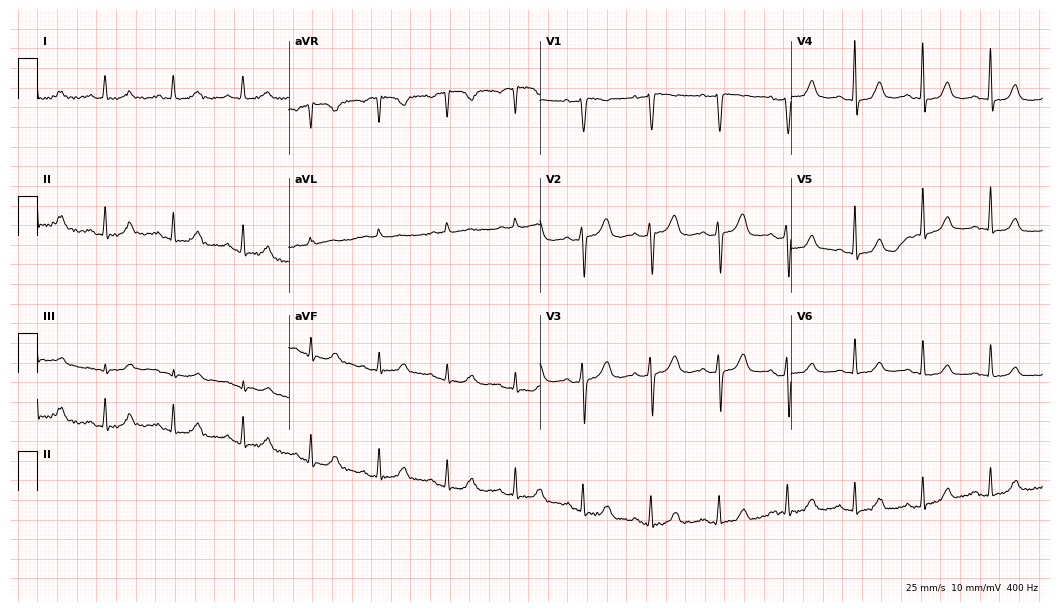
Standard 12-lead ECG recorded from a woman, 83 years old. None of these six findings is recorded: first-degree AV block, right bundle branch block, left bundle branch block, sinus bradycardia, atrial fibrillation, sinus tachycardia.